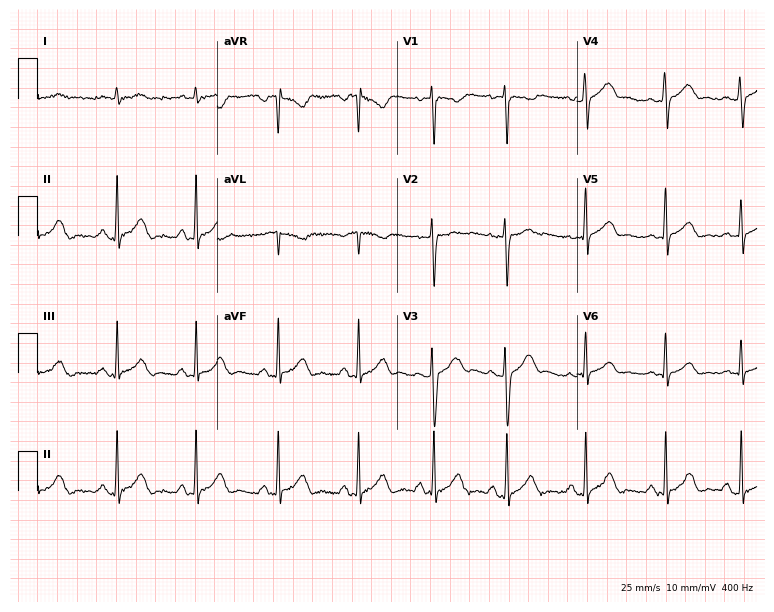
Standard 12-lead ECG recorded from a male, 33 years old. Read as a normal ECG.